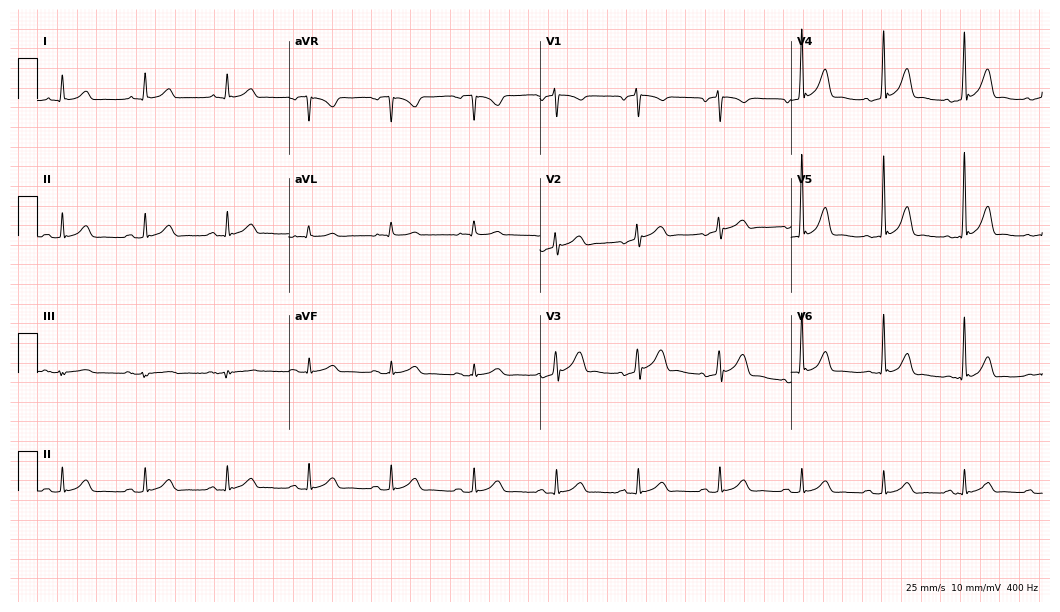
Standard 12-lead ECG recorded from a male patient, 79 years old. Read as a normal ECG.